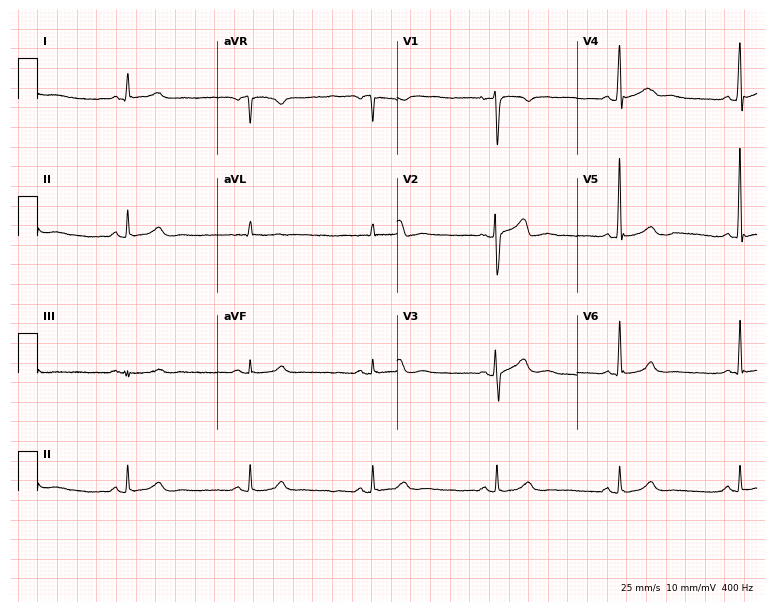
Resting 12-lead electrocardiogram. Patient: a 58-year-old male. The tracing shows sinus bradycardia (a sinus rate of 50 beats per minute or less).